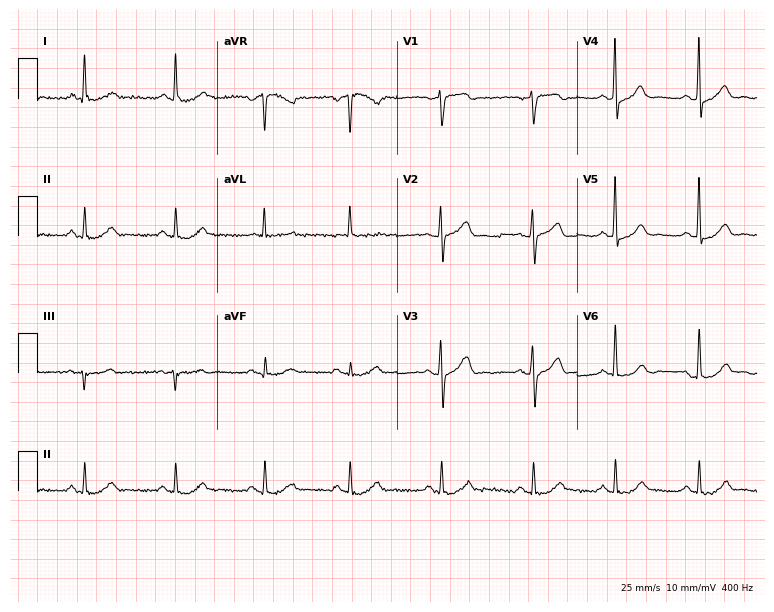
Electrocardiogram, a 60-year-old male. Overall reading on record: normal ECG.